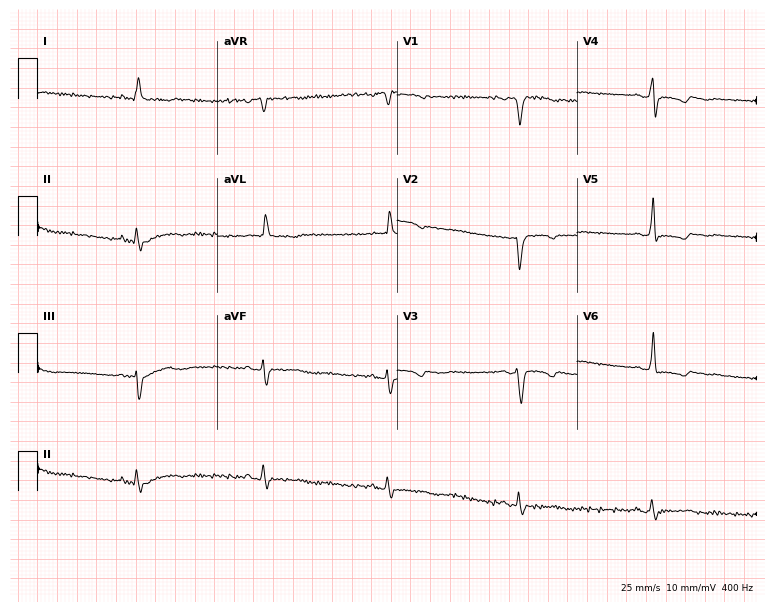
Standard 12-lead ECG recorded from a 57-year-old female. The tracing shows sinus bradycardia (a sinus rate of 50 beats per minute or less).